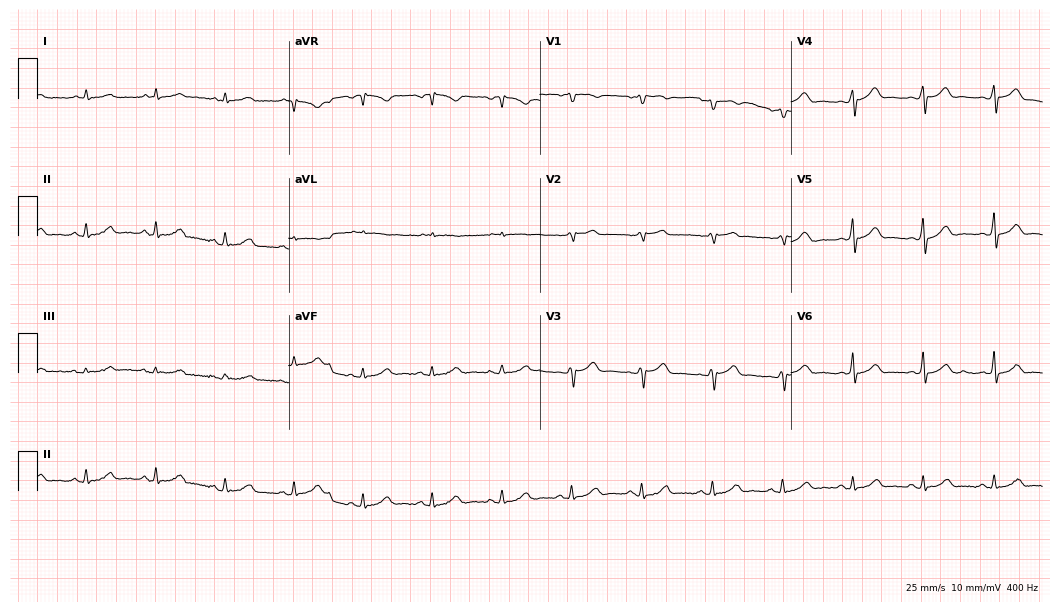
ECG — a 63-year-old male. Labelled as a normal ECG.